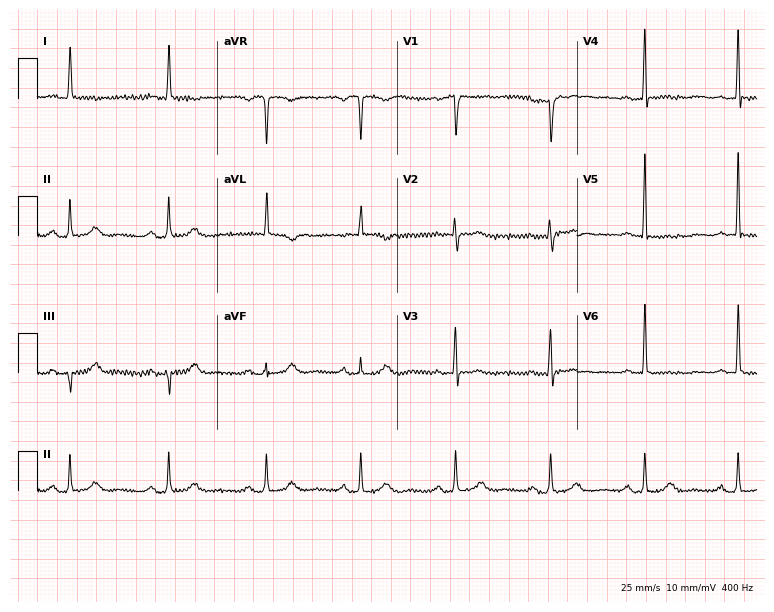
Standard 12-lead ECG recorded from a female patient, 70 years old. None of these six findings is recorded: first-degree AV block, right bundle branch block, left bundle branch block, sinus bradycardia, atrial fibrillation, sinus tachycardia.